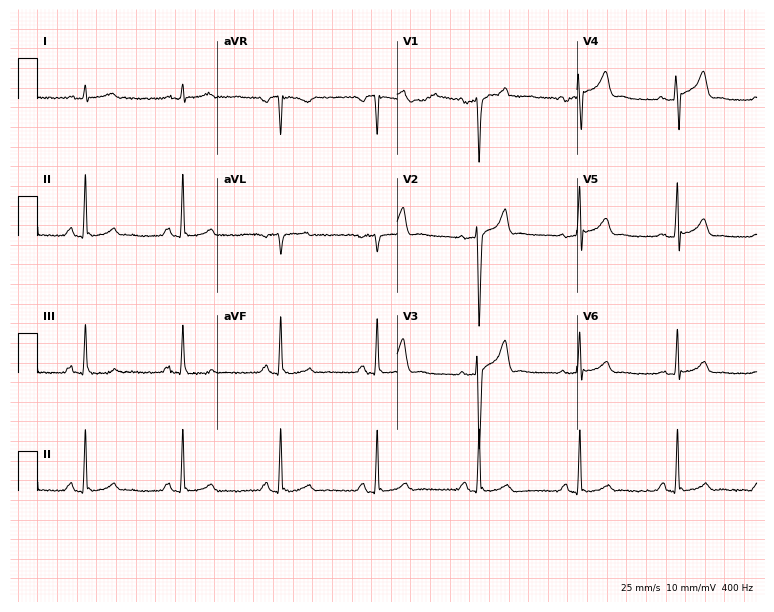
ECG — a 49-year-old man. Screened for six findings — first-degree AV block, right bundle branch block, left bundle branch block, sinus bradycardia, atrial fibrillation, sinus tachycardia — none is recorded.